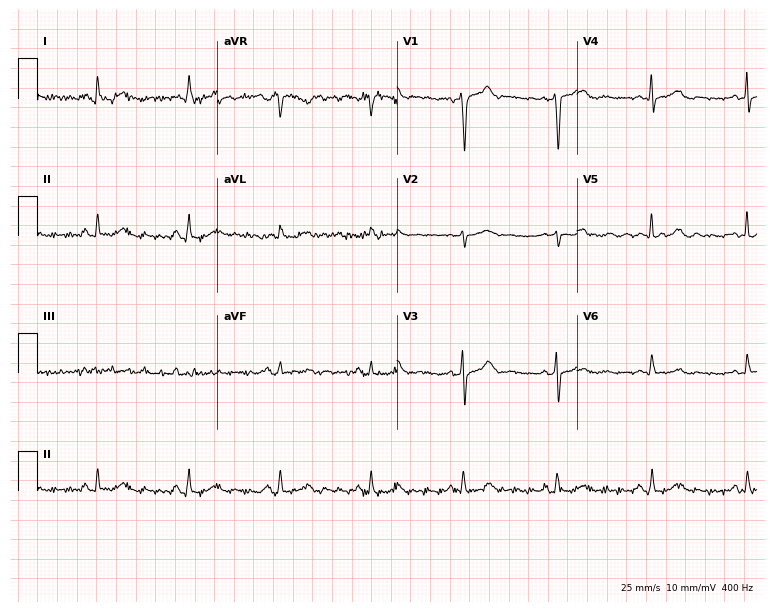
Standard 12-lead ECG recorded from a 64-year-old female (7.3-second recording at 400 Hz). None of these six findings is recorded: first-degree AV block, right bundle branch block, left bundle branch block, sinus bradycardia, atrial fibrillation, sinus tachycardia.